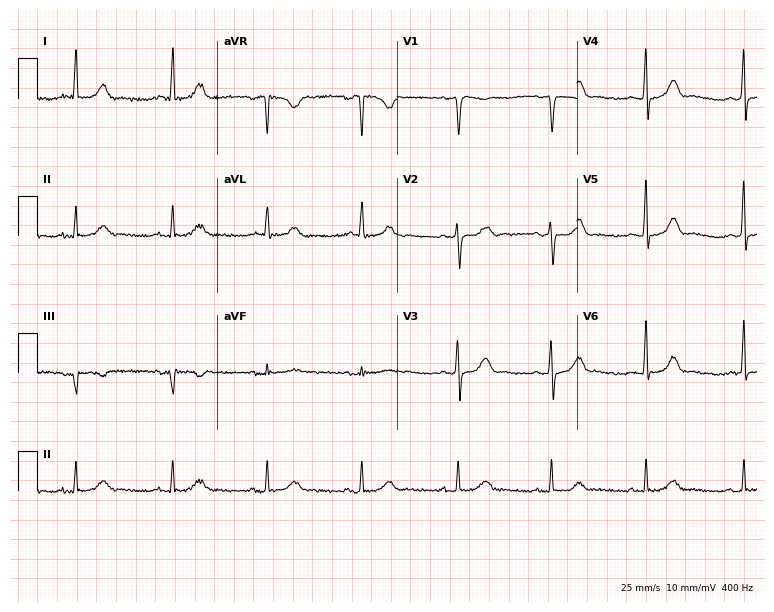
Standard 12-lead ECG recorded from a female, 59 years old (7.3-second recording at 400 Hz). None of these six findings is recorded: first-degree AV block, right bundle branch block, left bundle branch block, sinus bradycardia, atrial fibrillation, sinus tachycardia. Only these six findings were labelled.